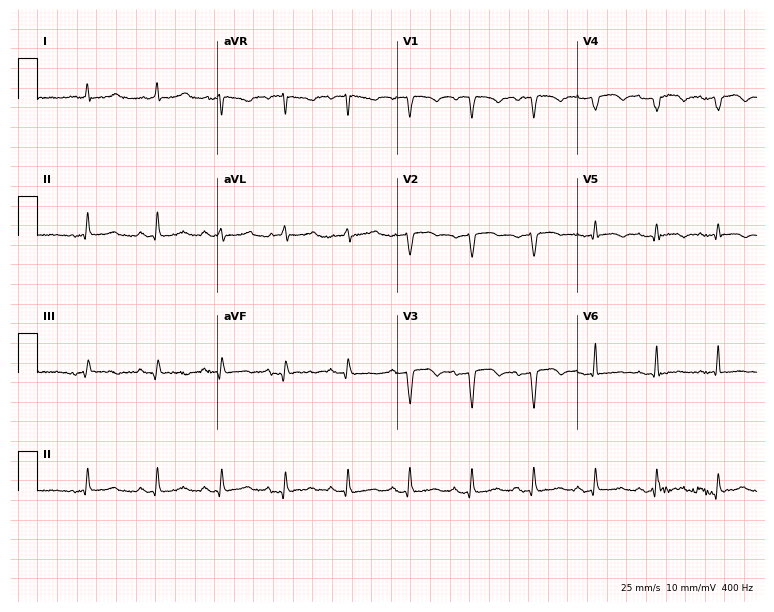
Resting 12-lead electrocardiogram. Patient: a female, 69 years old. None of these six findings is recorded: first-degree AV block, right bundle branch block (RBBB), left bundle branch block (LBBB), sinus bradycardia, atrial fibrillation (AF), sinus tachycardia. Other findings, if any, are not listed.